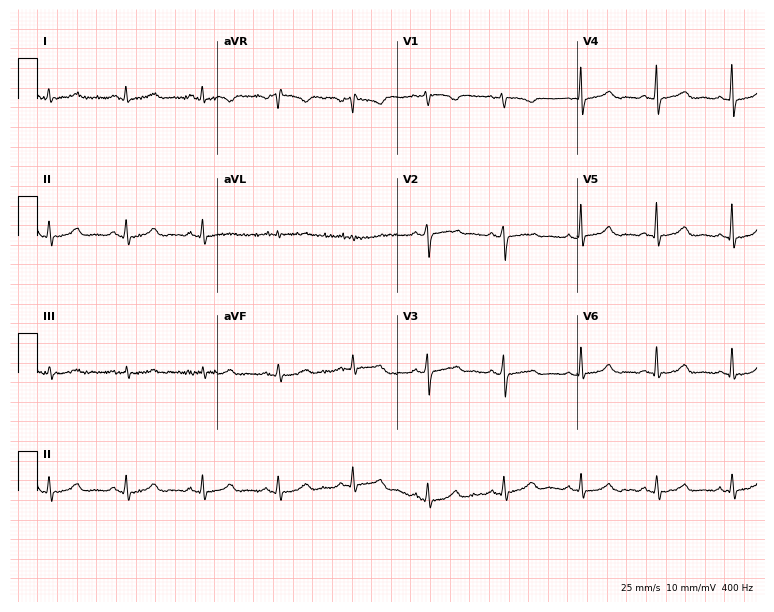
Electrocardiogram, a 37-year-old female. Overall reading on record: normal ECG.